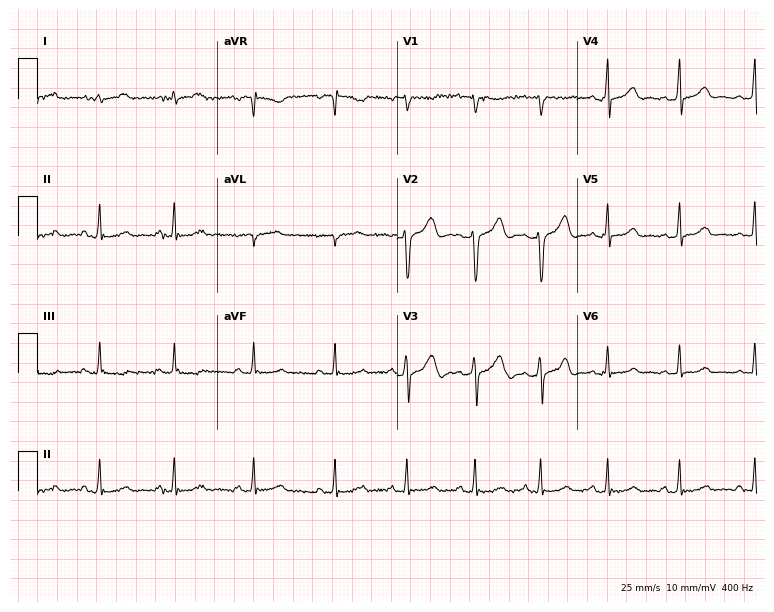
12-lead ECG (7.3-second recording at 400 Hz) from a female patient, 24 years old. Screened for six findings — first-degree AV block, right bundle branch block (RBBB), left bundle branch block (LBBB), sinus bradycardia, atrial fibrillation (AF), sinus tachycardia — none is recorded. Other findings, if any, are not listed.